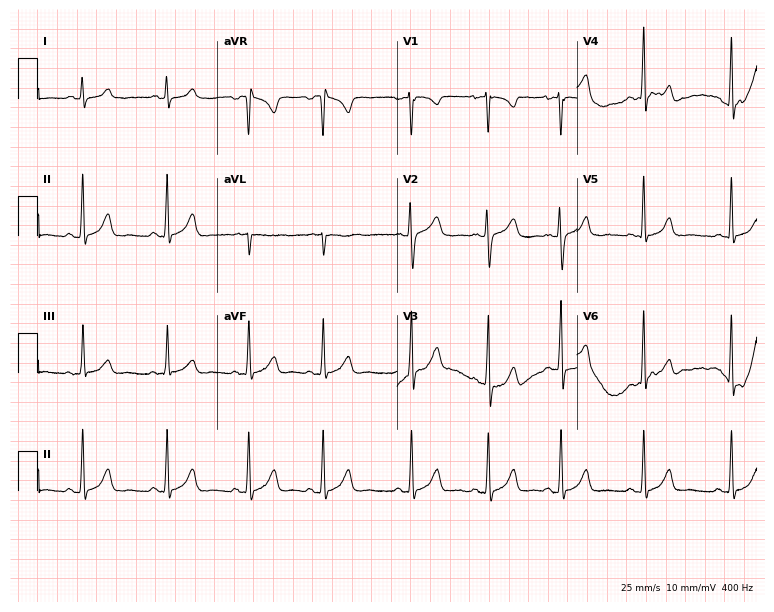
Resting 12-lead electrocardiogram (7.3-second recording at 400 Hz). Patient: a female, 19 years old. None of these six findings is recorded: first-degree AV block, right bundle branch block, left bundle branch block, sinus bradycardia, atrial fibrillation, sinus tachycardia. Only these six findings were labelled.